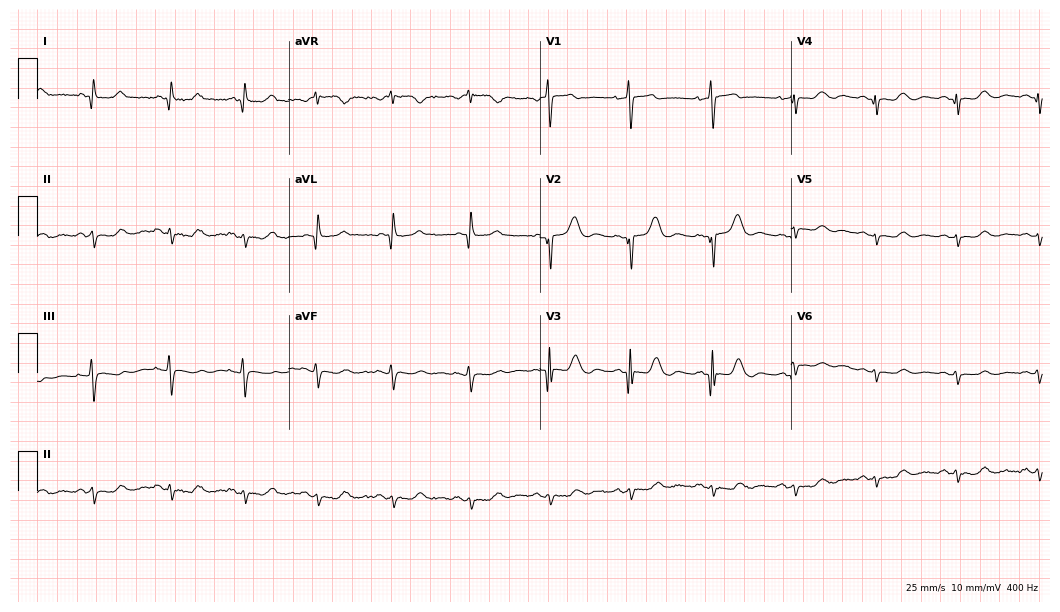
12-lead ECG (10.2-second recording at 400 Hz) from a 71-year-old woman. Screened for six findings — first-degree AV block, right bundle branch block, left bundle branch block, sinus bradycardia, atrial fibrillation, sinus tachycardia — none is recorded. Findings outside these six are not listed.